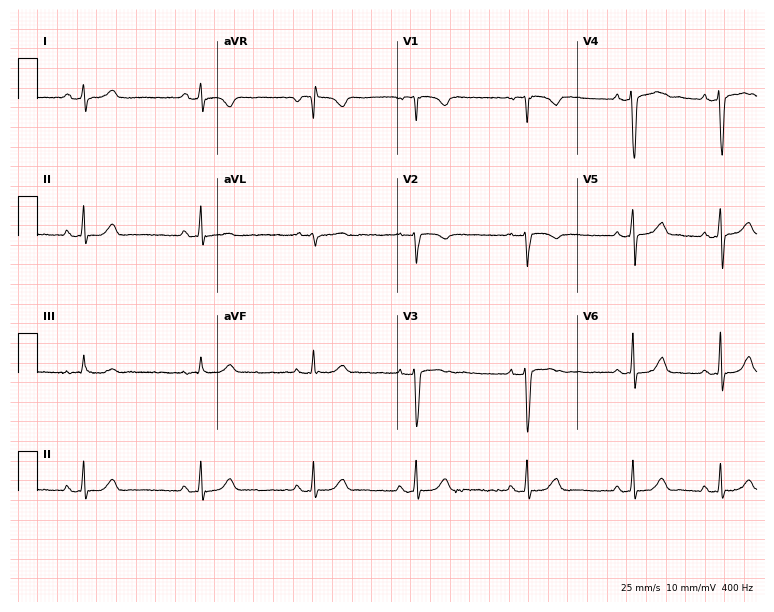
Standard 12-lead ECG recorded from a woman, 18 years old (7.3-second recording at 400 Hz). Read as a normal ECG.